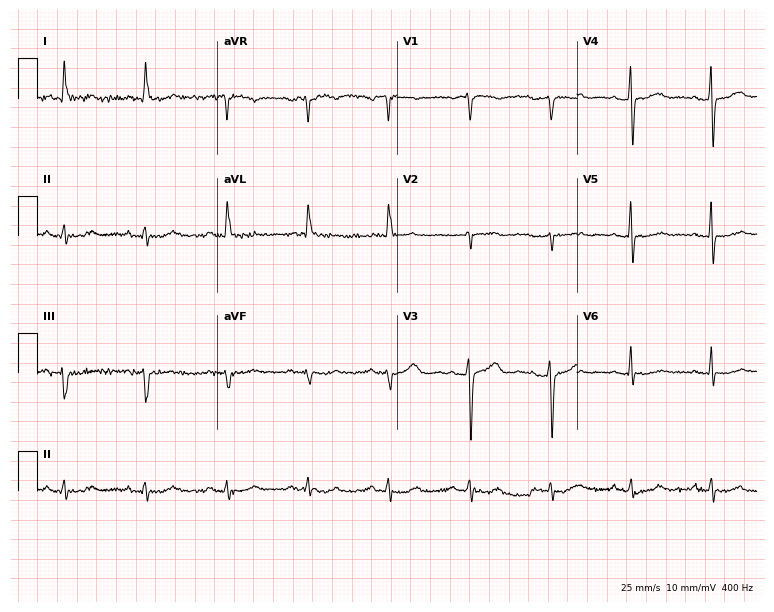
Resting 12-lead electrocardiogram. Patient: a woman, 82 years old. None of these six findings is recorded: first-degree AV block, right bundle branch block (RBBB), left bundle branch block (LBBB), sinus bradycardia, atrial fibrillation (AF), sinus tachycardia. Findings outside these six are not listed.